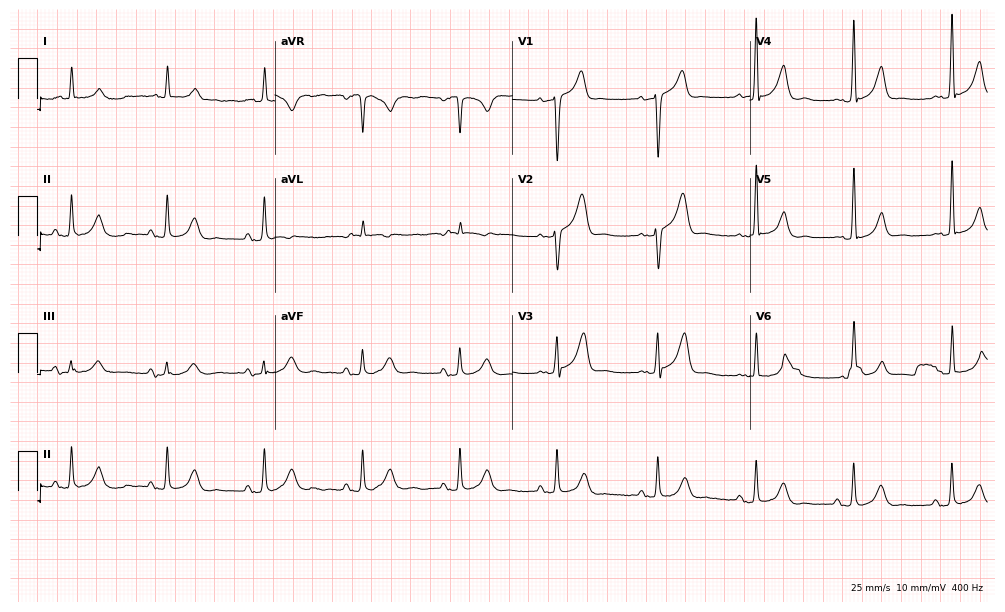
Electrocardiogram (9.7-second recording at 400 Hz), an 80-year-old man. Overall reading on record: normal ECG.